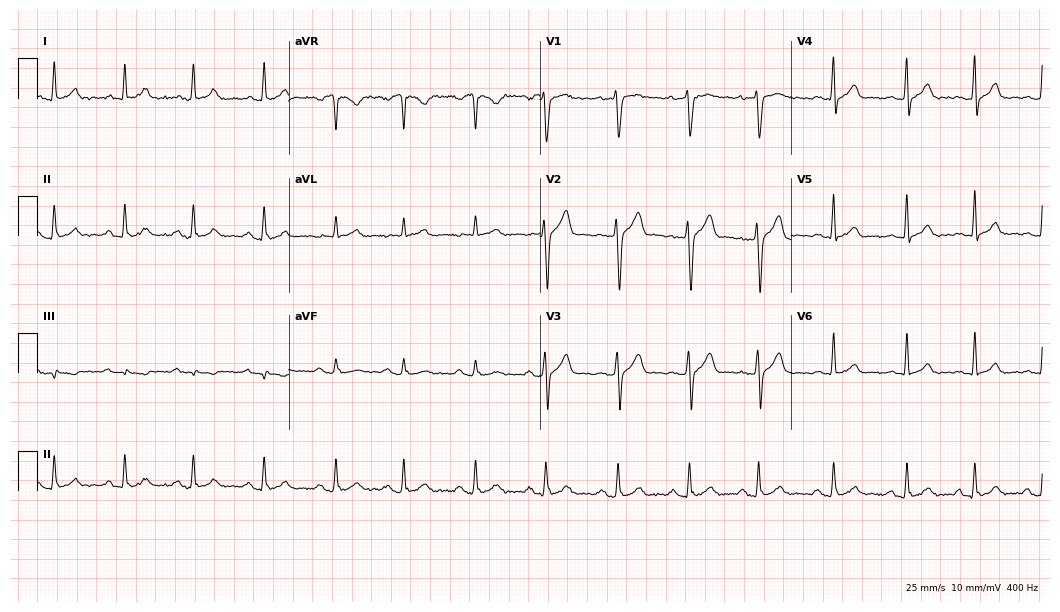
Resting 12-lead electrocardiogram. Patient: a 25-year-old man. Read as a normal ECG.